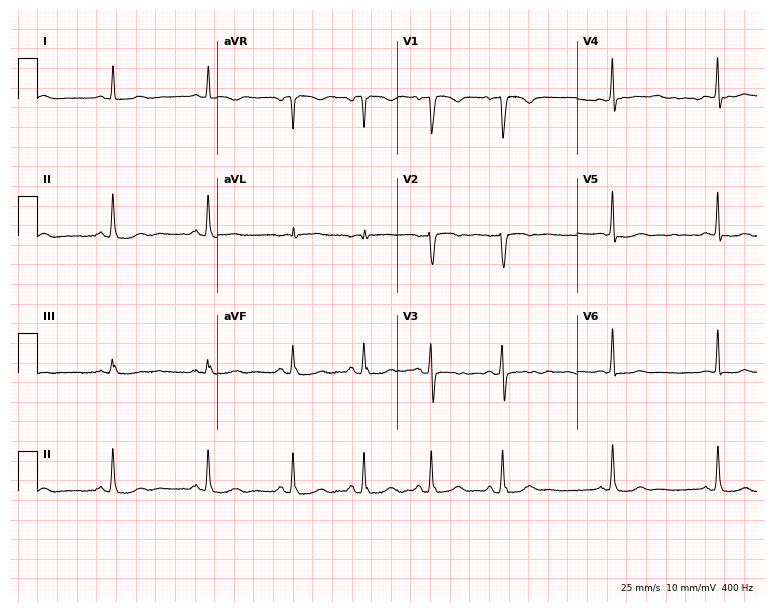
Standard 12-lead ECG recorded from a female patient, 30 years old. None of these six findings is recorded: first-degree AV block, right bundle branch block, left bundle branch block, sinus bradycardia, atrial fibrillation, sinus tachycardia.